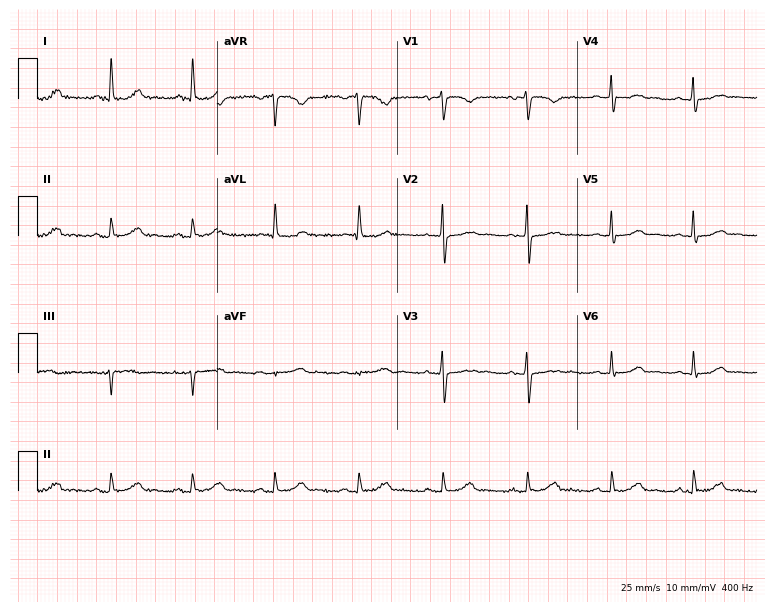
Electrocardiogram, a female patient, 55 years old. Overall reading on record: normal ECG.